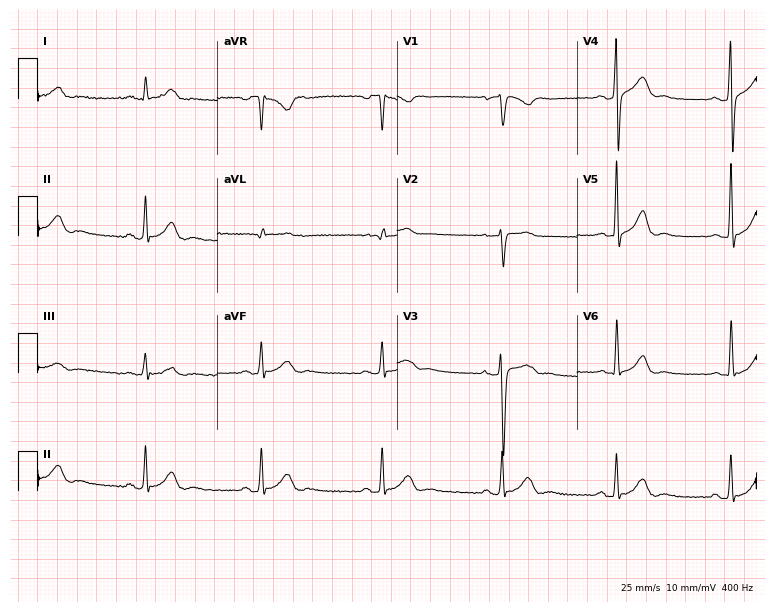
12-lead ECG from a 50-year-old male patient. No first-degree AV block, right bundle branch block, left bundle branch block, sinus bradycardia, atrial fibrillation or sinus tachycardia recorded for this tracing.